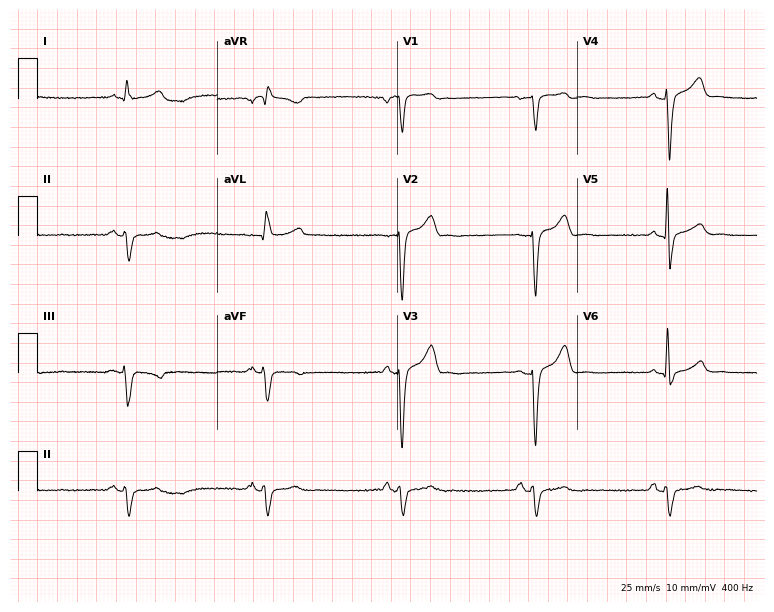
12-lead ECG from a male patient, 55 years old. Findings include sinus bradycardia (a sinus rate of 50 beats per minute or less).